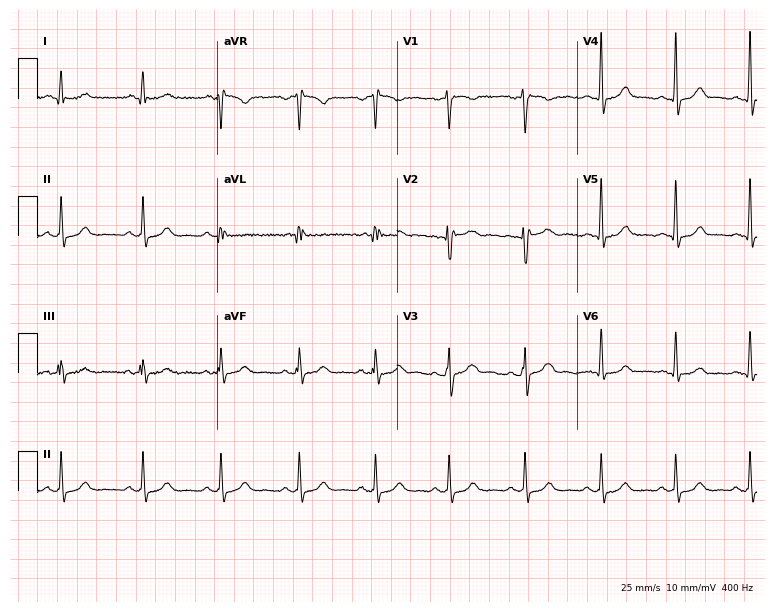
ECG — a female patient, 24 years old. Labelled as a normal ECG.